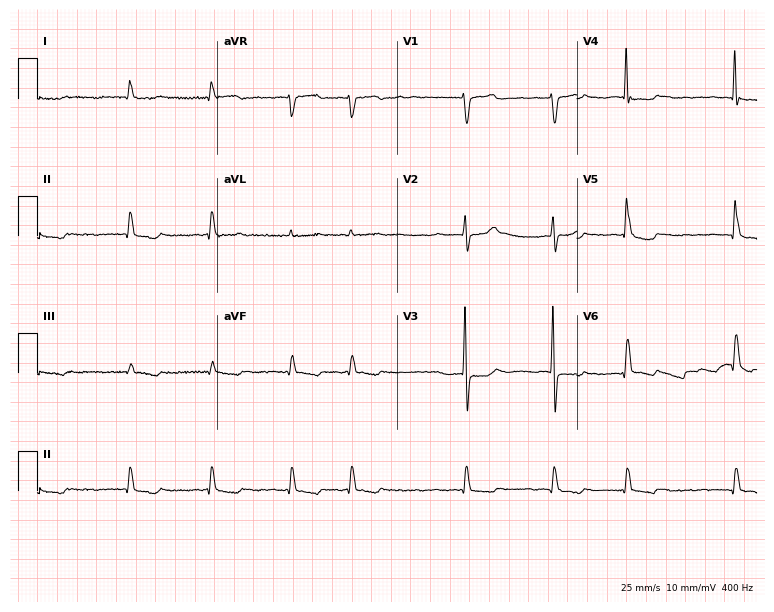
Electrocardiogram (7.3-second recording at 400 Hz), an 84-year-old male. Interpretation includes atrial fibrillation.